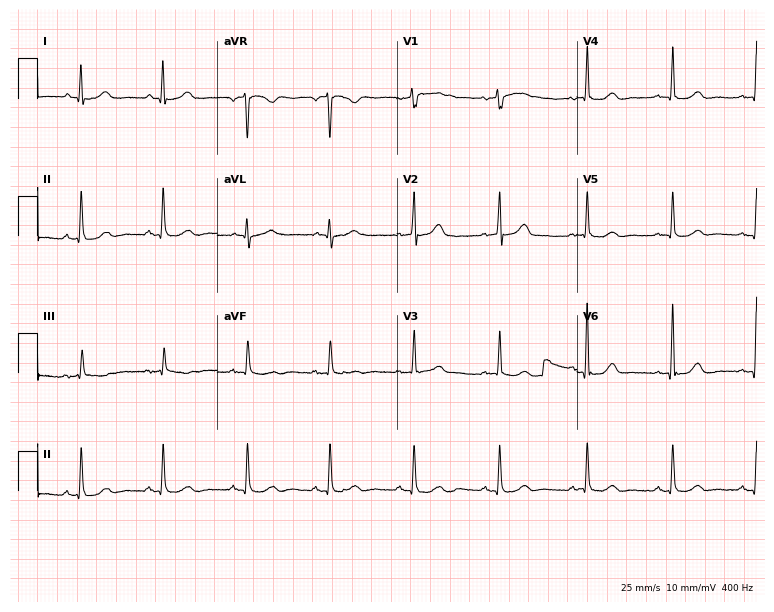
Standard 12-lead ECG recorded from a woman, 52 years old (7.3-second recording at 400 Hz). None of these six findings is recorded: first-degree AV block, right bundle branch block, left bundle branch block, sinus bradycardia, atrial fibrillation, sinus tachycardia. Only these six findings were labelled.